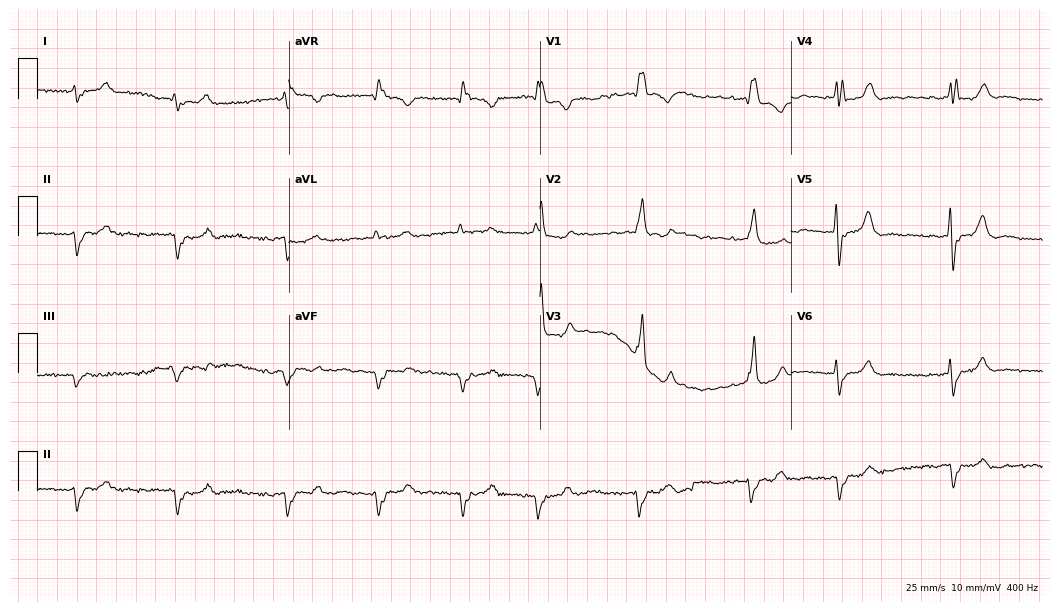
12-lead ECG from a 79-year-old man. Screened for six findings — first-degree AV block, right bundle branch block, left bundle branch block, sinus bradycardia, atrial fibrillation, sinus tachycardia — none is recorded.